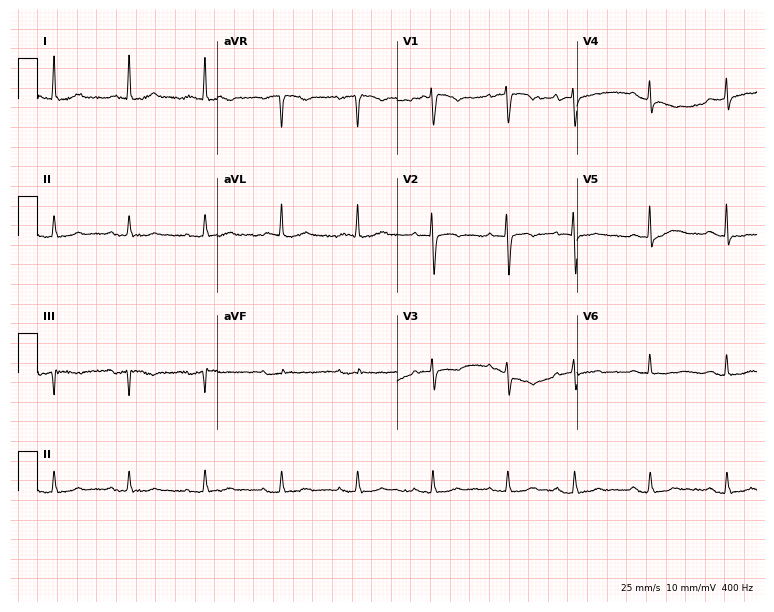
ECG — a female patient, 76 years old. Screened for six findings — first-degree AV block, right bundle branch block (RBBB), left bundle branch block (LBBB), sinus bradycardia, atrial fibrillation (AF), sinus tachycardia — none is recorded. Findings outside these six are not listed.